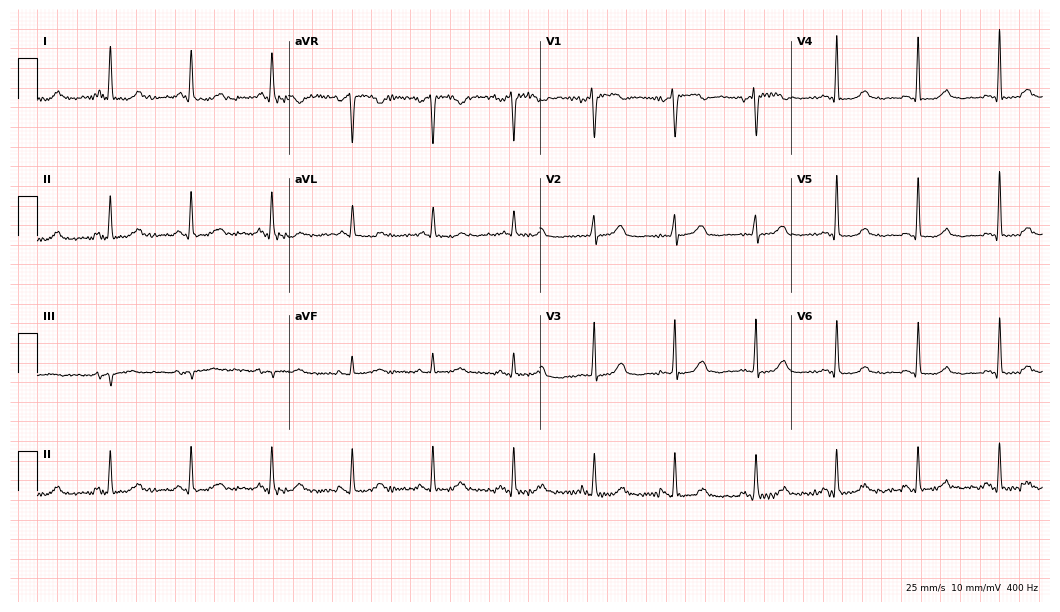
Electrocardiogram, a woman, 60 years old. Of the six screened findings (first-degree AV block, right bundle branch block (RBBB), left bundle branch block (LBBB), sinus bradycardia, atrial fibrillation (AF), sinus tachycardia), none is recorded.